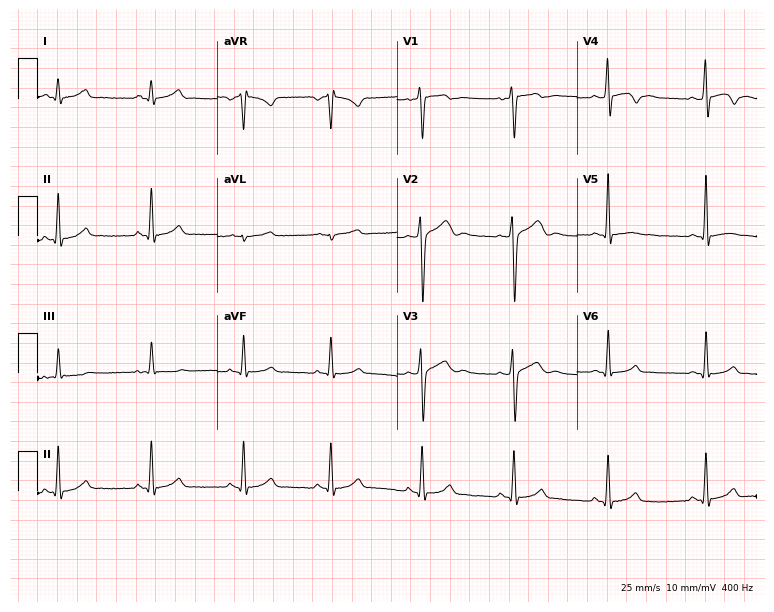
12-lead ECG from a 17-year-old man. Screened for six findings — first-degree AV block, right bundle branch block (RBBB), left bundle branch block (LBBB), sinus bradycardia, atrial fibrillation (AF), sinus tachycardia — none is recorded.